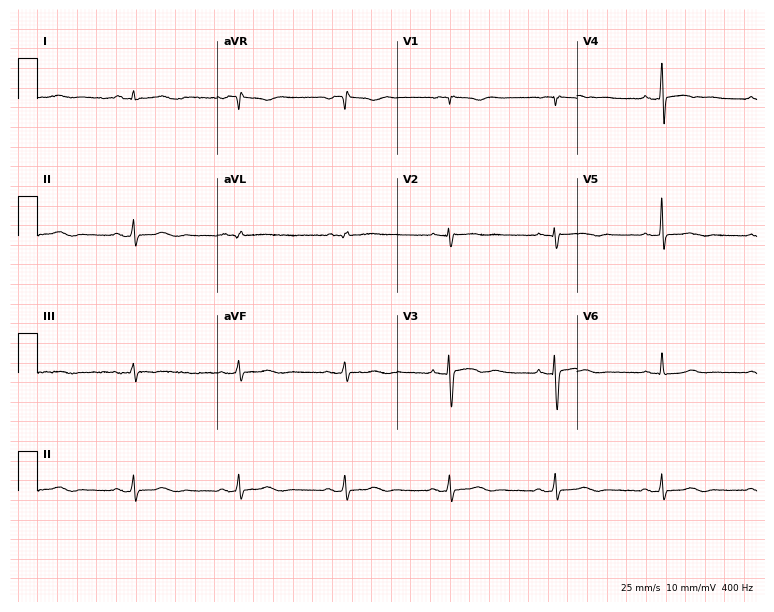
ECG (7.3-second recording at 400 Hz) — a woman, 44 years old. Screened for six findings — first-degree AV block, right bundle branch block, left bundle branch block, sinus bradycardia, atrial fibrillation, sinus tachycardia — none is recorded.